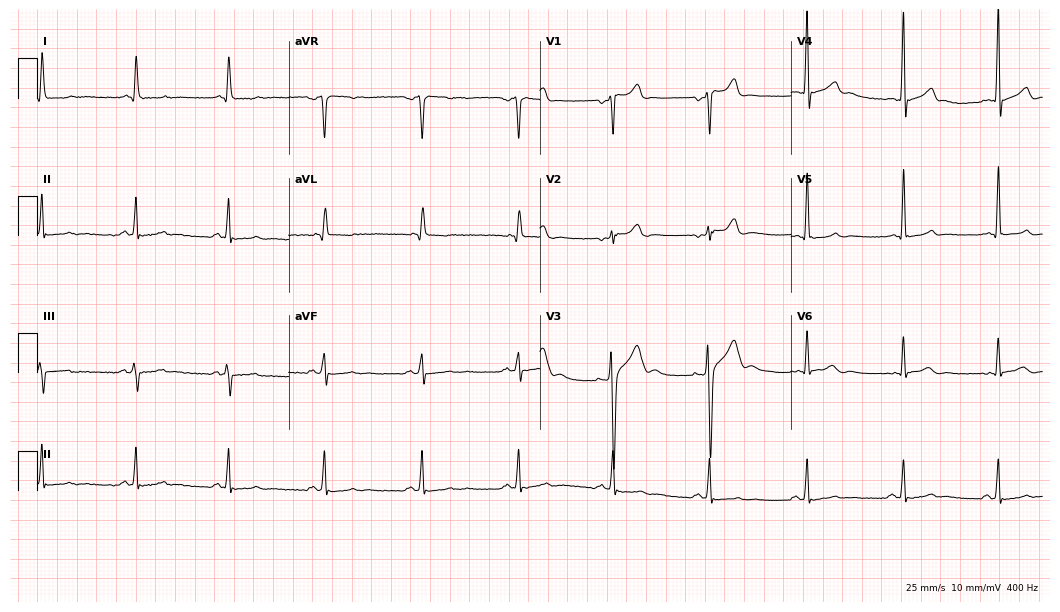
ECG (10.2-second recording at 400 Hz) — a 29-year-old male patient. Labelled as a normal ECG.